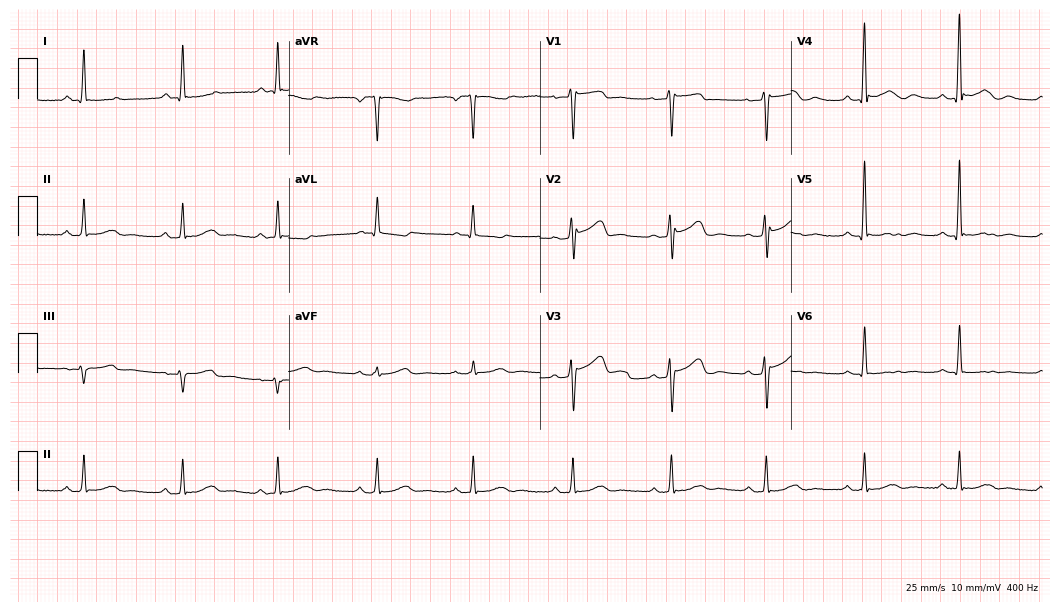
Standard 12-lead ECG recorded from a female patient, 72 years old (10.2-second recording at 400 Hz). None of these six findings is recorded: first-degree AV block, right bundle branch block, left bundle branch block, sinus bradycardia, atrial fibrillation, sinus tachycardia.